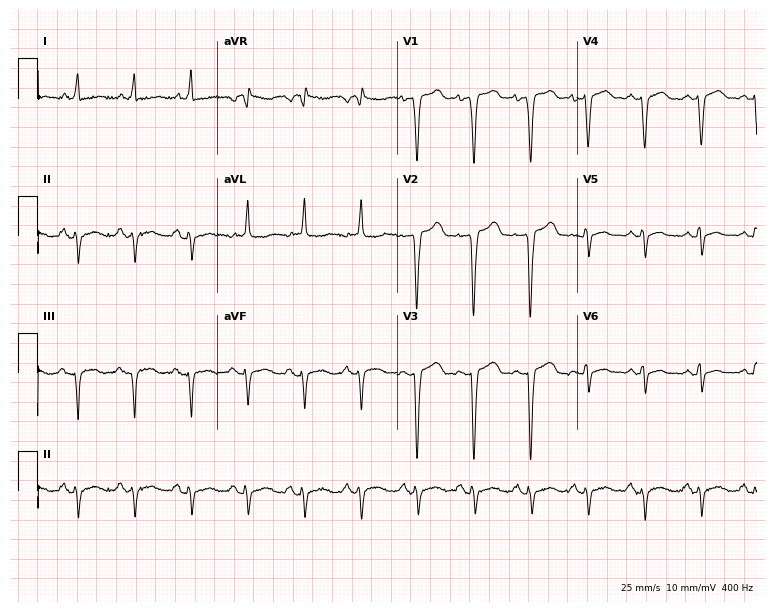
Standard 12-lead ECG recorded from a woman, 75 years old. The tracing shows sinus tachycardia (a sinus rate of 100 beats per minute or more).